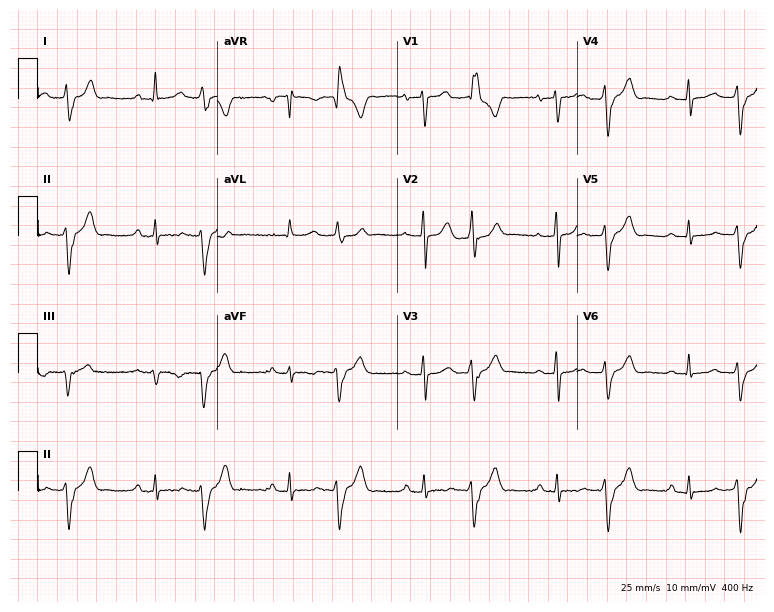
Electrocardiogram (7.3-second recording at 400 Hz), a 76-year-old female. Of the six screened findings (first-degree AV block, right bundle branch block (RBBB), left bundle branch block (LBBB), sinus bradycardia, atrial fibrillation (AF), sinus tachycardia), none is recorded.